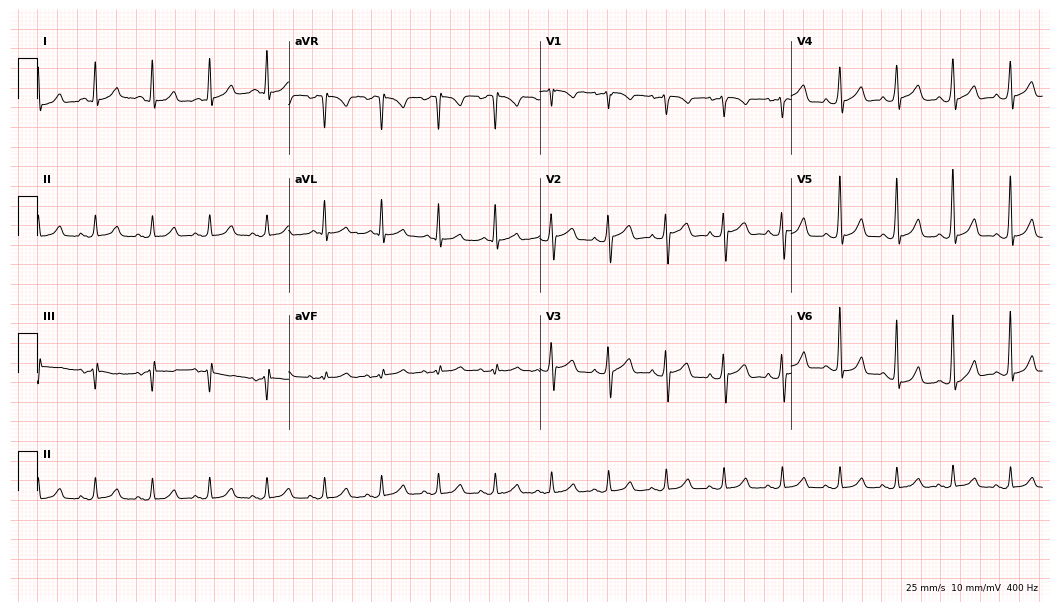
ECG (10.2-second recording at 400 Hz) — a man, 42 years old. Findings include sinus tachycardia (a sinus rate of 100 beats per minute or more).